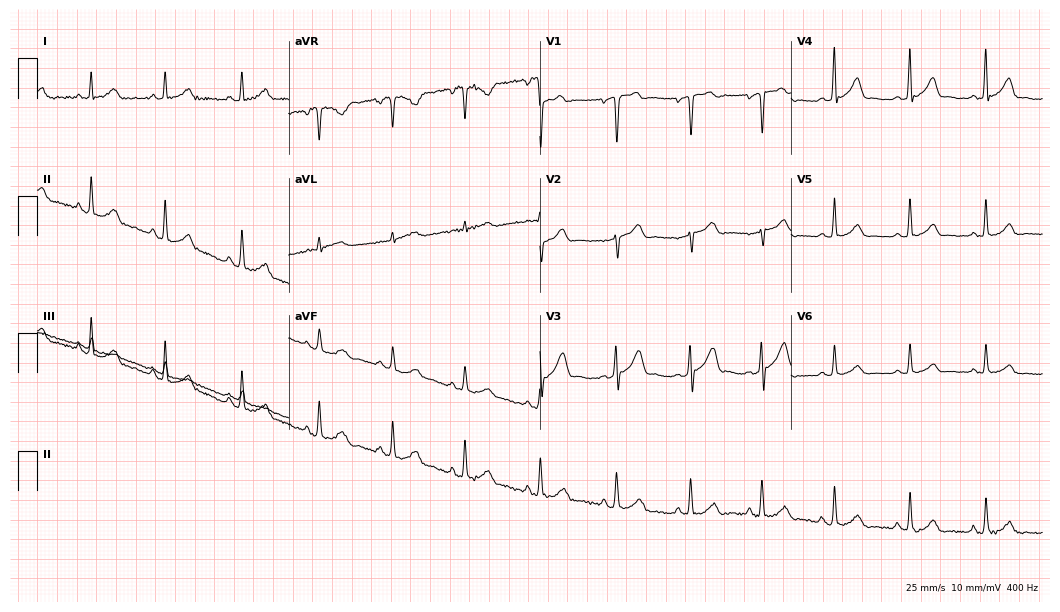
12-lead ECG from a male, 49 years old. Recorded interpretation: within normal limits.